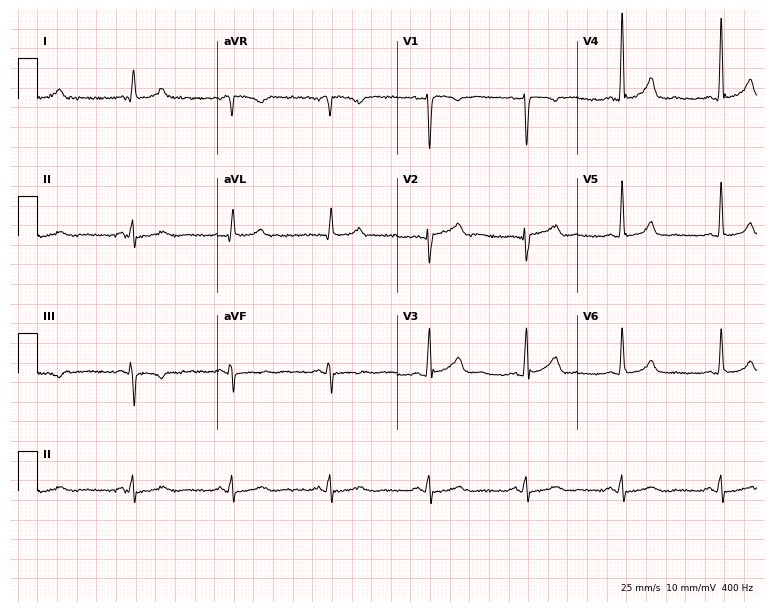
Resting 12-lead electrocardiogram. Patient: a male, 54 years old. None of these six findings is recorded: first-degree AV block, right bundle branch block, left bundle branch block, sinus bradycardia, atrial fibrillation, sinus tachycardia.